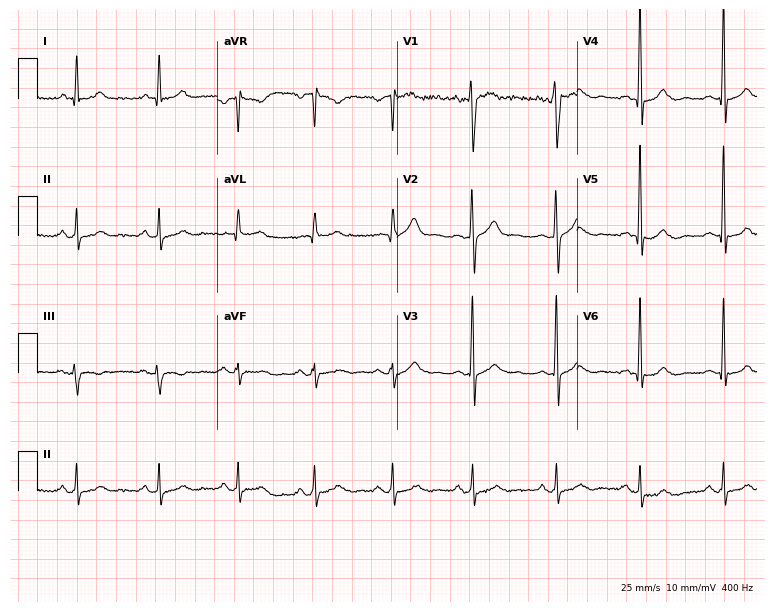
12-lead ECG from a 44-year-old man (7.3-second recording at 400 Hz). Recorded interpretation: within normal limits.